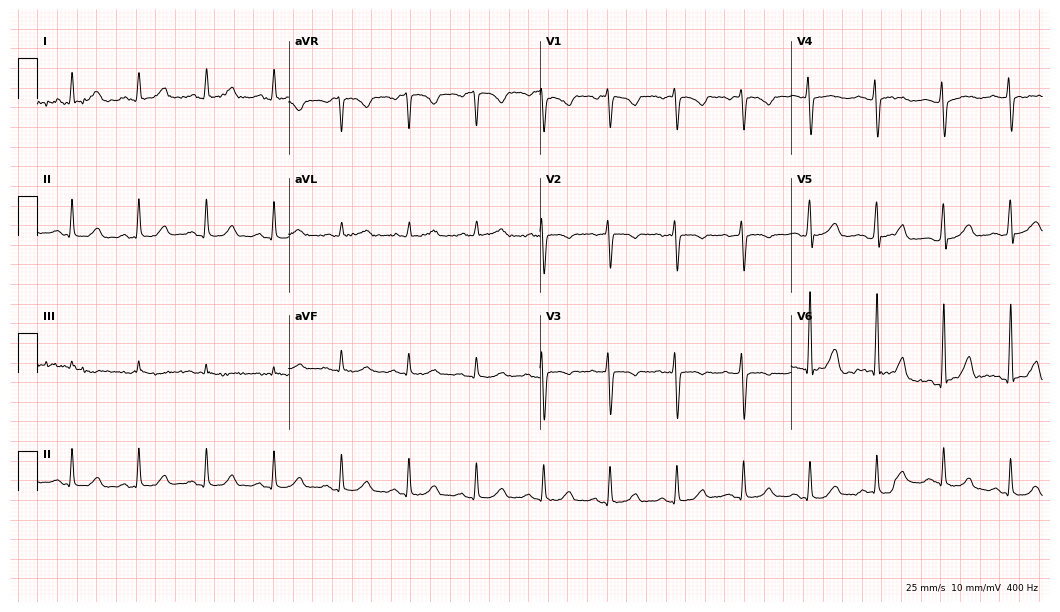
Resting 12-lead electrocardiogram. Patient: a woman, 47 years old. Read as a normal ECG.